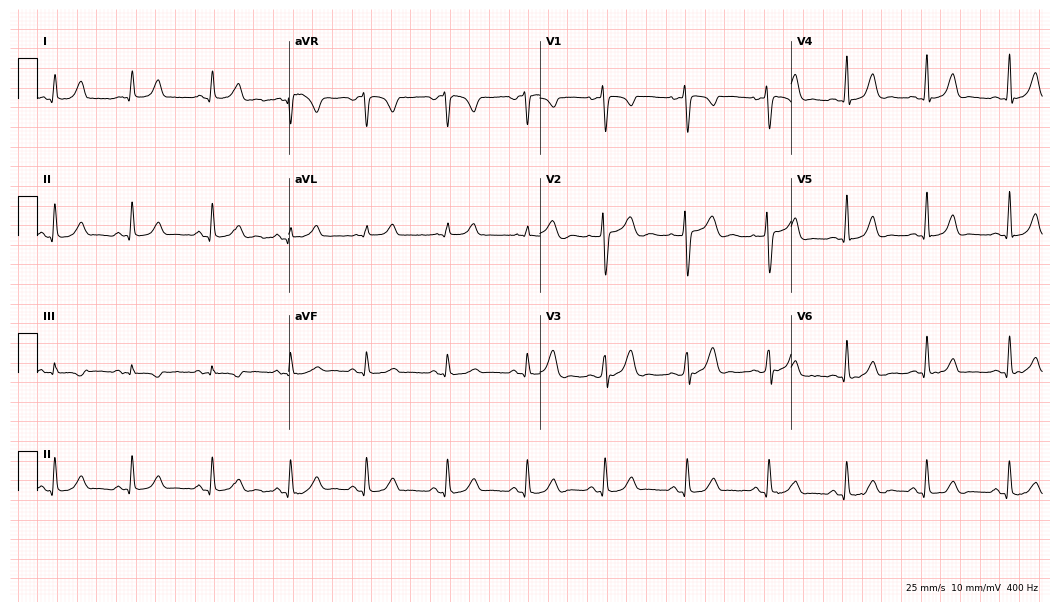
Electrocardiogram (10.2-second recording at 400 Hz), a 35-year-old female. Overall reading on record: normal ECG.